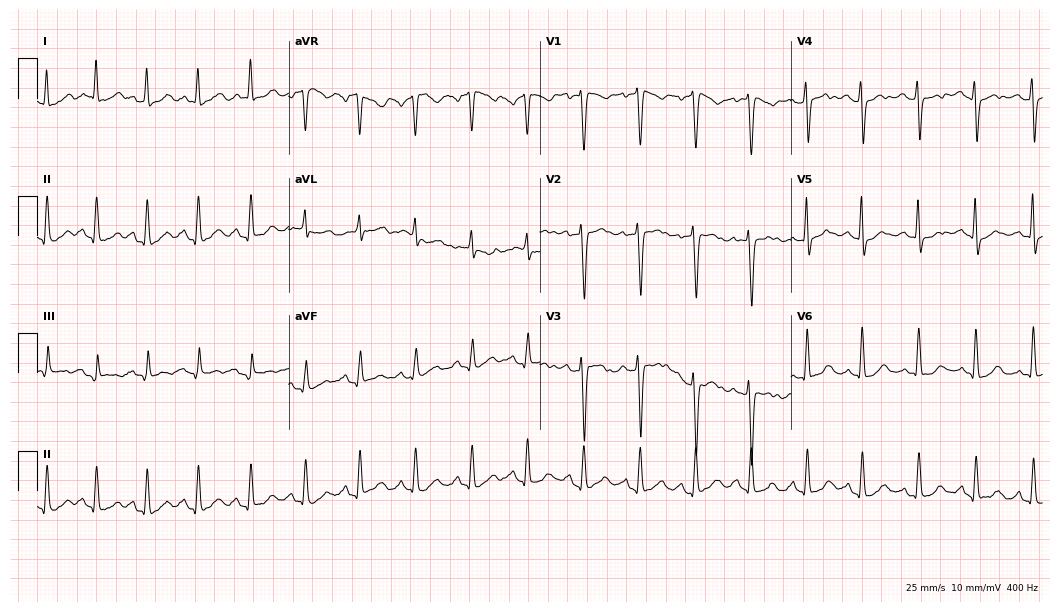
Standard 12-lead ECG recorded from a 41-year-old woman. The tracing shows sinus tachycardia (a sinus rate of 100 beats per minute or more).